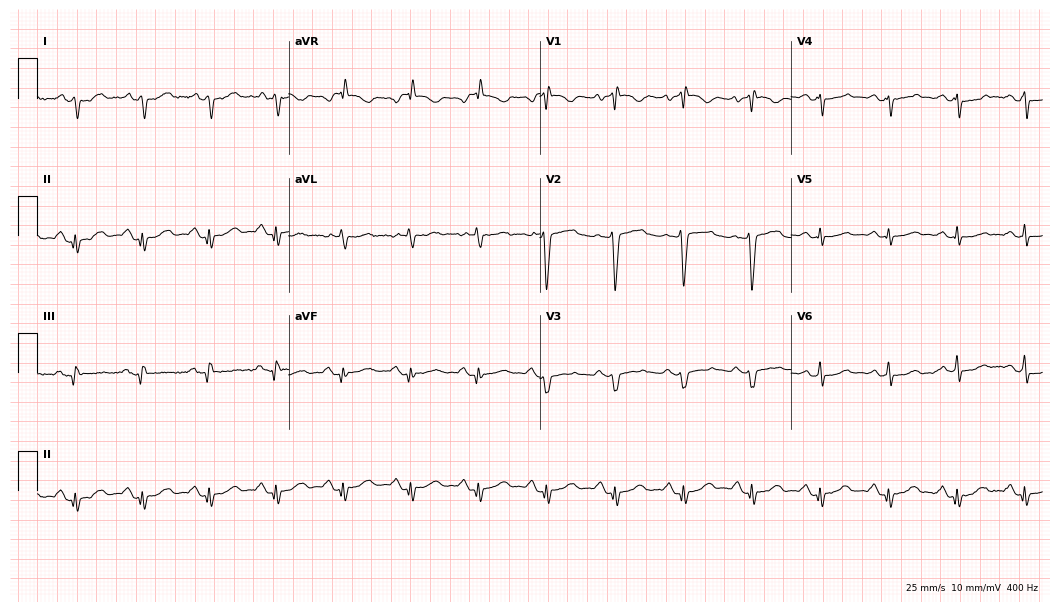
12-lead ECG from a 48-year-old female patient. No first-degree AV block, right bundle branch block, left bundle branch block, sinus bradycardia, atrial fibrillation or sinus tachycardia recorded for this tracing.